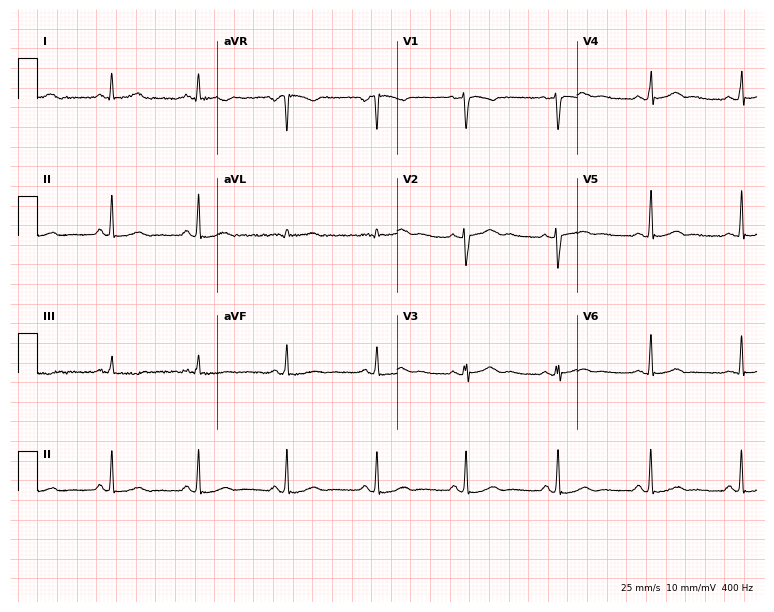
12-lead ECG (7.3-second recording at 400 Hz) from a woman, 42 years old. Screened for six findings — first-degree AV block, right bundle branch block, left bundle branch block, sinus bradycardia, atrial fibrillation, sinus tachycardia — none is recorded. Other findings, if any, are not listed.